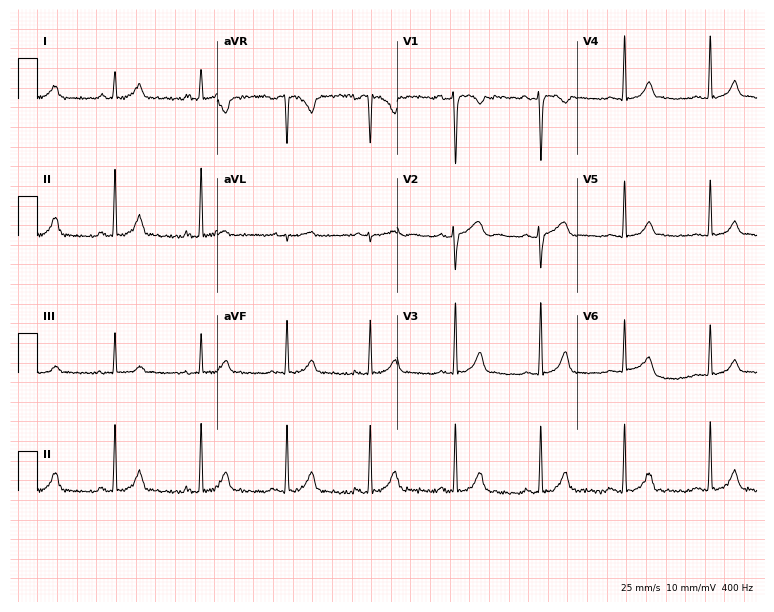
12-lead ECG from a female patient, 33 years old (7.3-second recording at 400 Hz). Recorded interpretation: within normal limits.